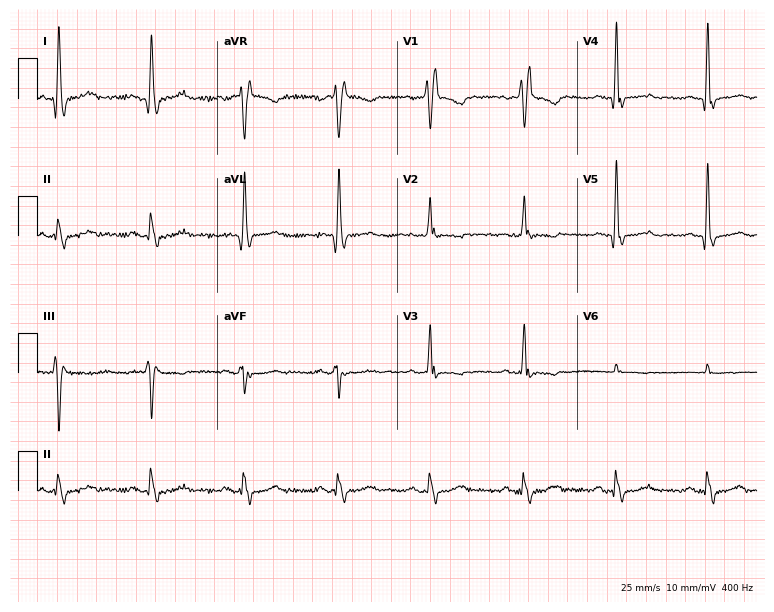
12-lead ECG from a female patient, 77 years old. Screened for six findings — first-degree AV block, right bundle branch block, left bundle branch block, sinus bradycardia, atrial fibrillation, sinus tachycardia — none is recorded. Other findings, if any, are not listed.